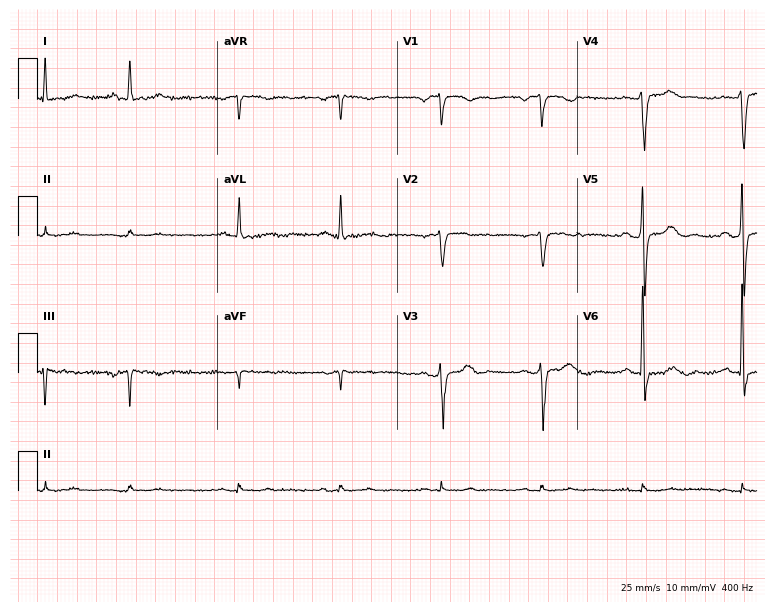
12-lead ECG from an 80-year-old male. Screened for six findings — first-degree AV block, right bundle branch block, left bundle branch block, sinus bradycardia, atrial fibrillation, sinus tachycardia — none is recorded.